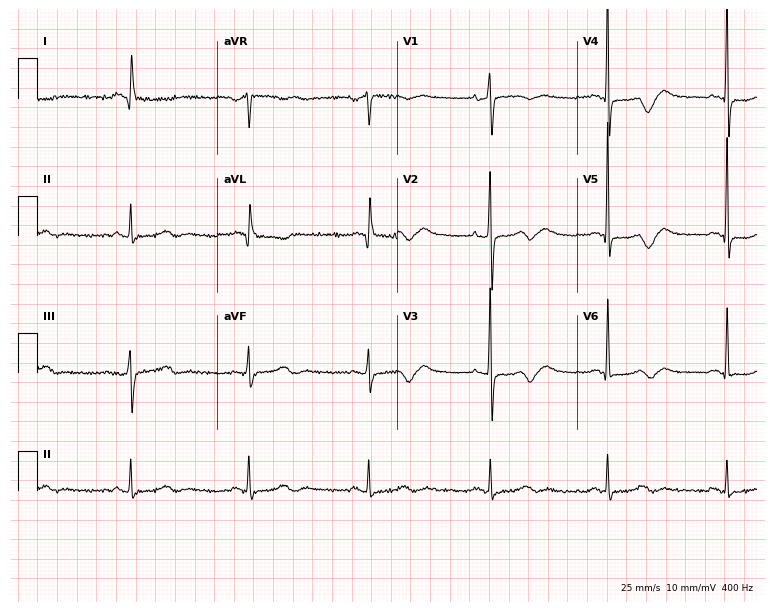
12-lead ECG from a 76-year-old female patient. Findings include sinus bradycardia (a sinus rate of 50 beats per minute or less).